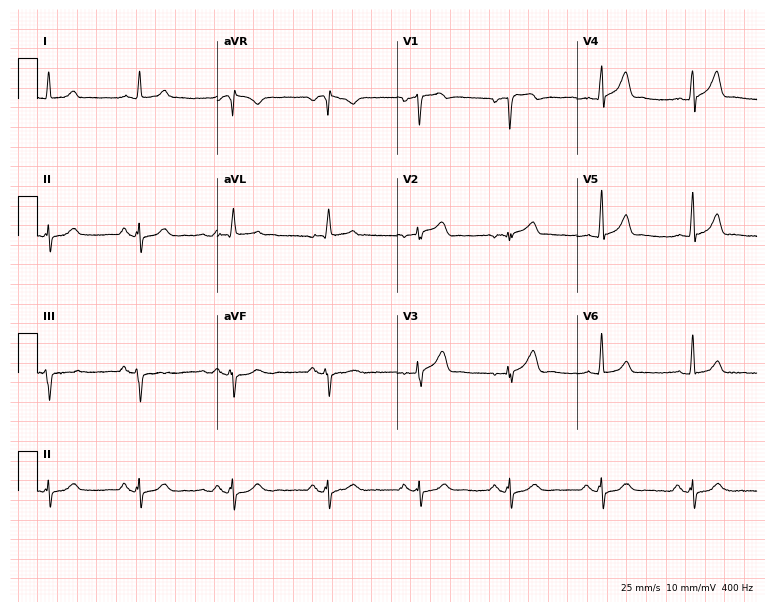
Electrocardiogram (7.3-second recording at 400 Hz), a man, 61 years old. Of the six screened findings (first-degree AV block, right bundle branch block, left bundle branch block, sinus bradycardia, atrial fibrillation, sinus tachycardia), none is recorded.